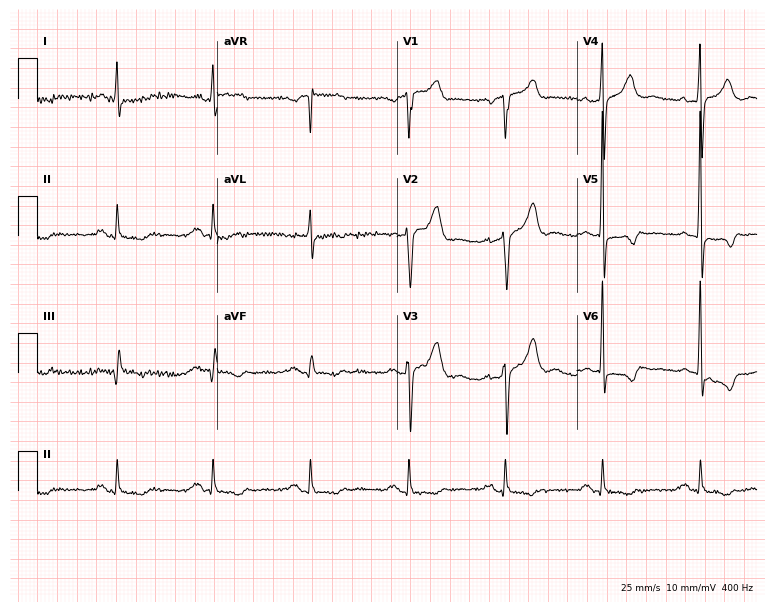
Electrocardiogram, a 70-year-old male patient. Of the six screened findings (first-degree AV block, right bundle branch block (RBBB), left bundle branch block (LBBB), sinus bradycardia, atrial fibrillation (AF), sinus tachycardia), none is recorded.